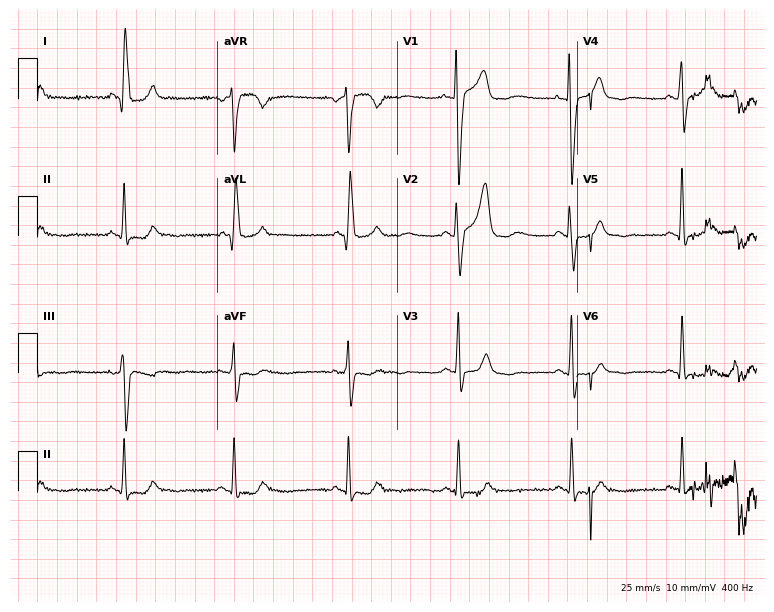
Electrocardiogram (7.3-second recording at 400 Hz), a female patient, 77 years old. Of the six screened findings (first-degree AV block, right bundle branch block (RBBB), left bundle branch block (LBBB), sinus bradycardia, atrial fibrillation (AF), sinus tachycardia), none is recorded. Other findings, if any, are not listed.